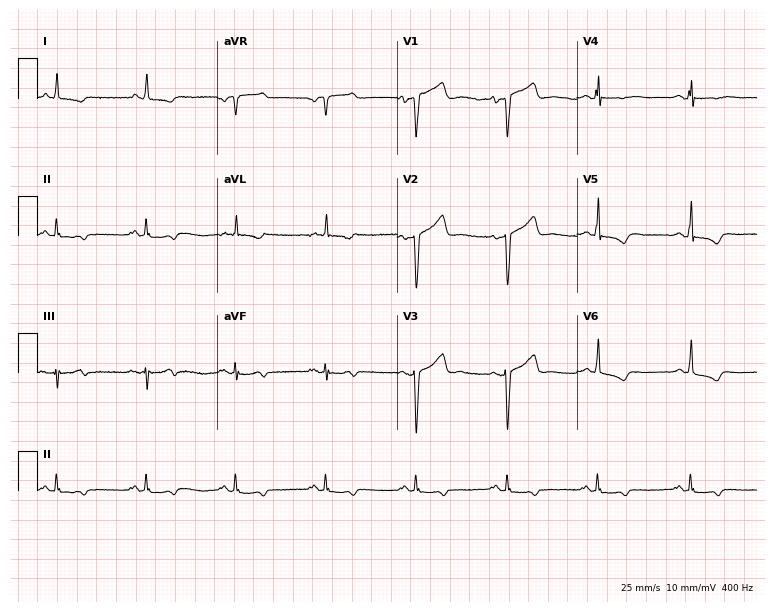
ECG — a male, 64 years old. Screened for six findings — first-degree AV block, right bundle branch block, left bundle branch block, sinus bradycardia, atrial fibrillation, sinus tachycardia — none is recorded.